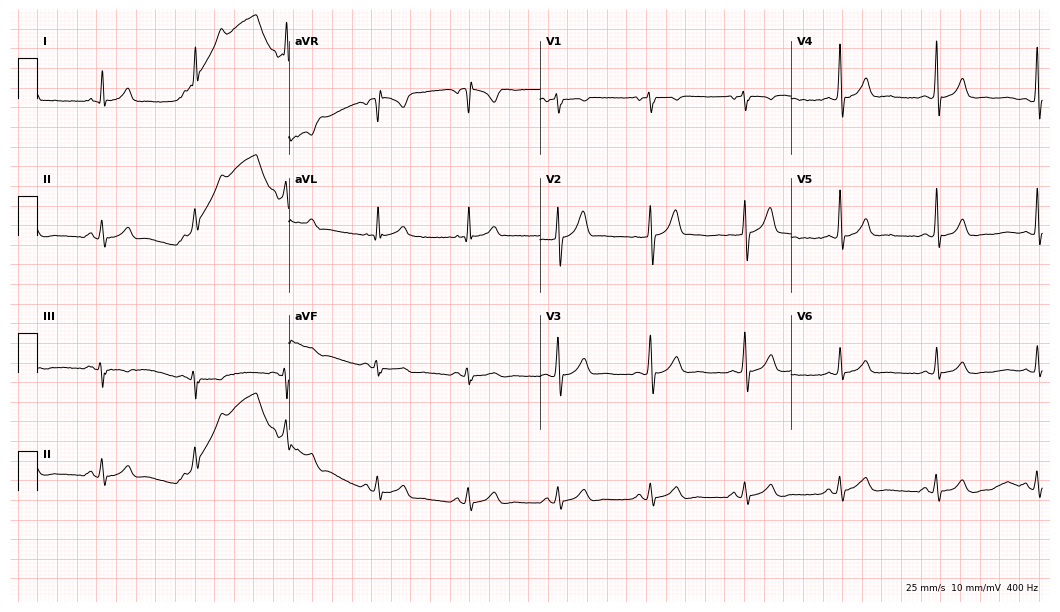
12-lead ECG (10.2-second recording at 400 Hz) from a 46-year-old male patient. Labelled as a normal ECG.